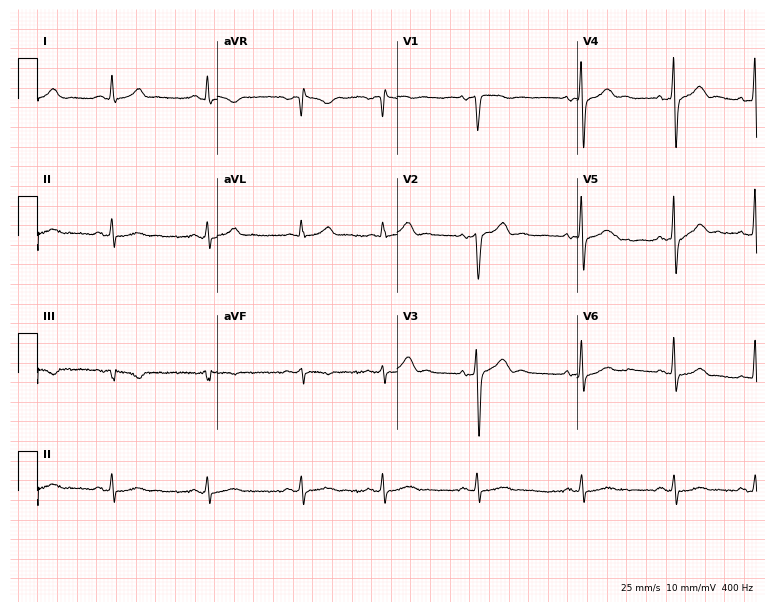
Electrocardiogram (7.3-second recording at 400 Hz), a man, 30 years old. Of the six screened findings (first-degree AV block, right bundle branch block (RBBB), left bundle branch block (LBBB), sinus bradycardia, atrial fibrillation (AF), sinus tachycardia), none is recorded. Other findings, if any, are not listed.